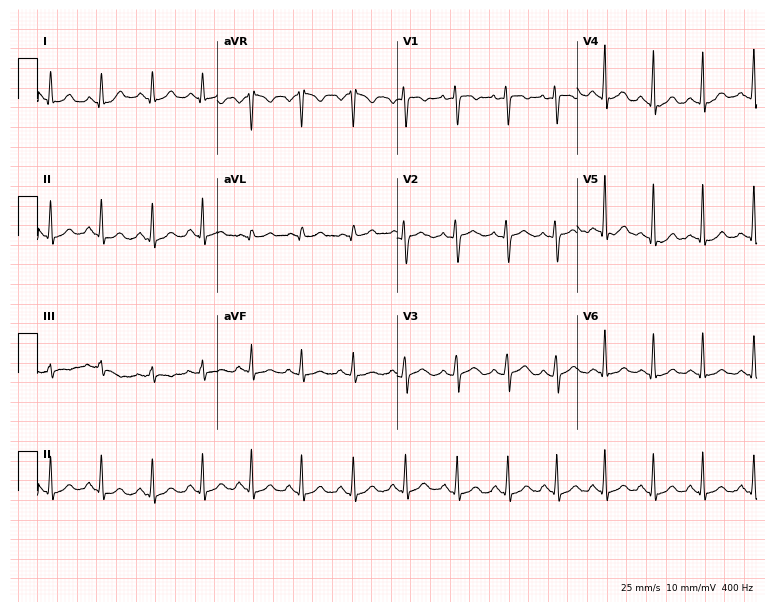
12-lead ECG from a 25-year-old female. Findings include sinus tachycardia (a sinus rate of 100 beats per minute or more).